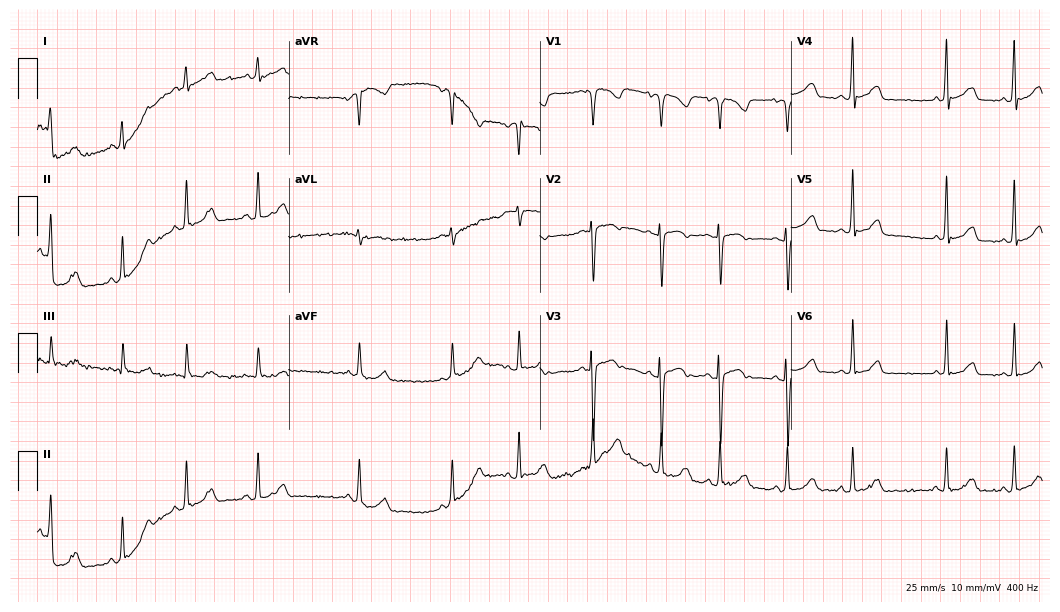
Standard 12-lead ECG recorded from a female, 50 years old (10.2-second recording at 400 Hz). Read as a normal ECG.